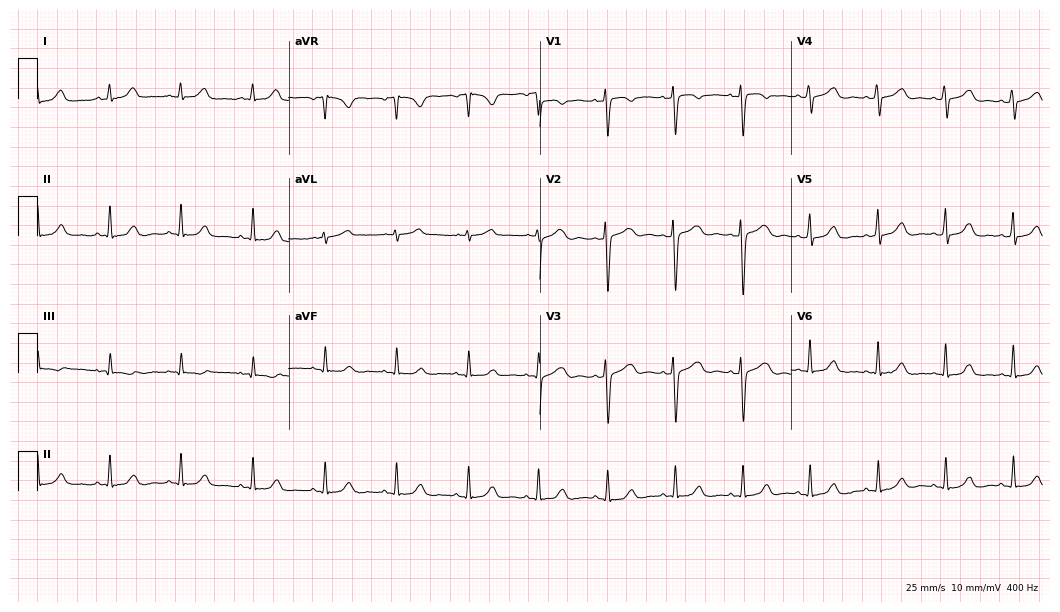
12-lead ECG from a 50-year-old woman (10.2-second recording at 400 Hz). Recorded interpretation: within normal limits.